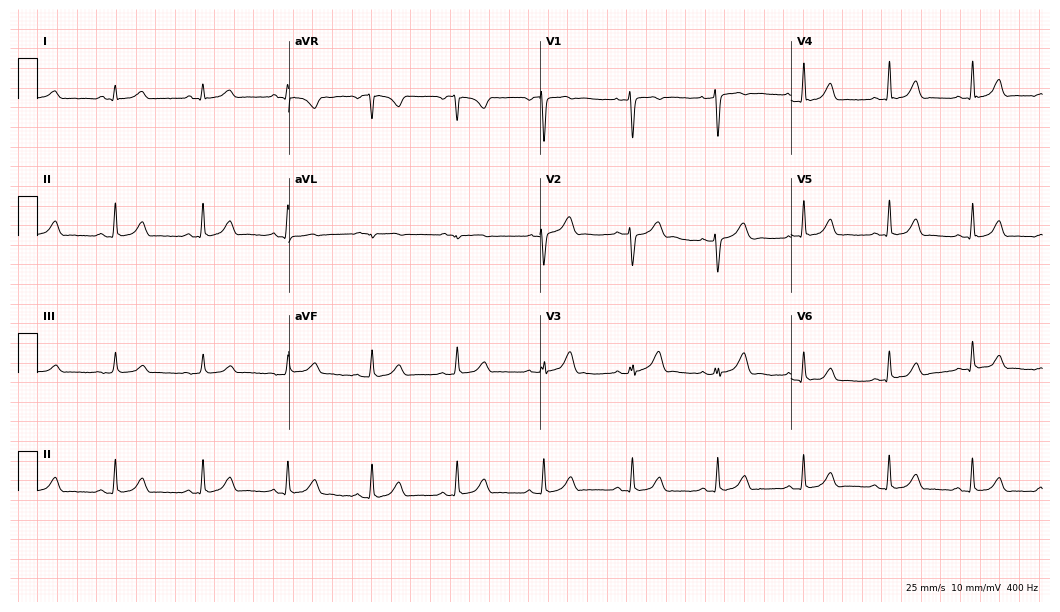
ECG — a 35-year-old female. Labelled as a normal ECG.